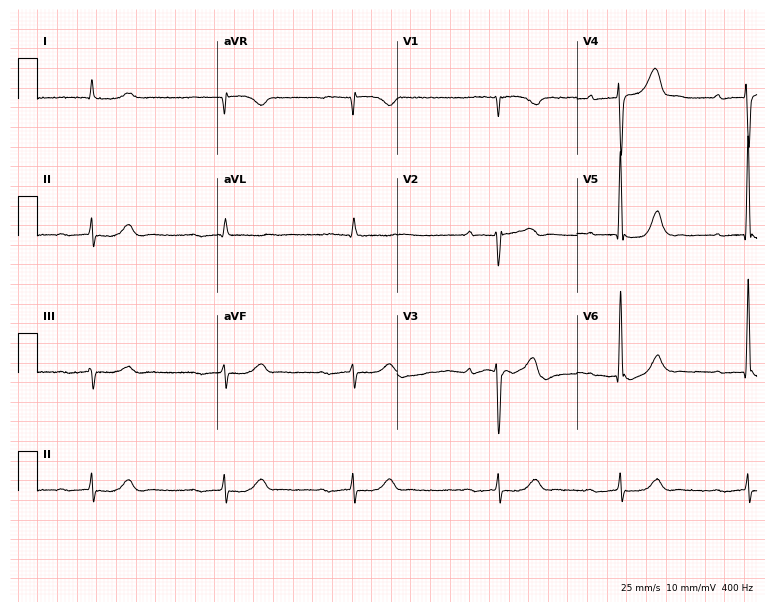
Standard 12-lead ECG recorded from a male patient, 81 years old (7.3-second recording at 400 Hz). The tracing shows first-degree AV block.